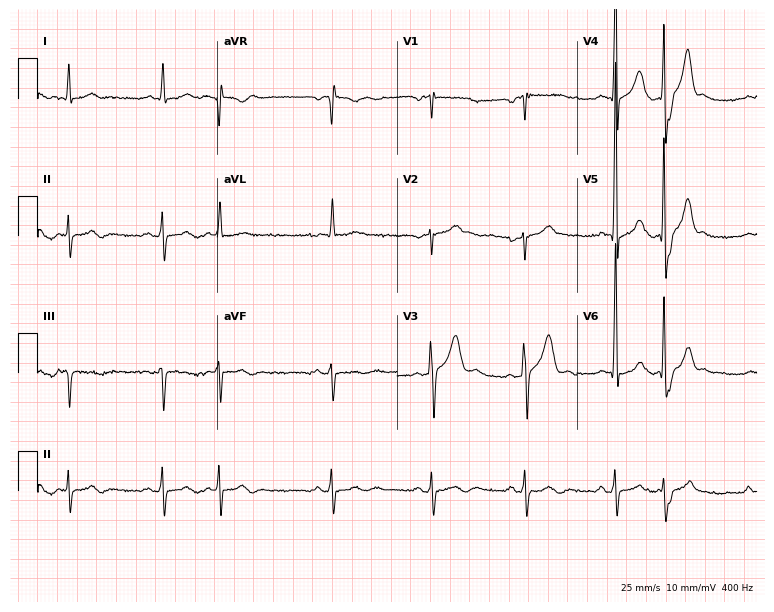
12-lead ECG from a male patient, 64 years old (7.3-second recording at 400 Hz). No first-degree AV block, right bundle branch block (RBBB), left bundle branch block (LBBB), sinus bradycardia, atrial fibrillation (AF) or sinus tachycardia recorded for this tracing.